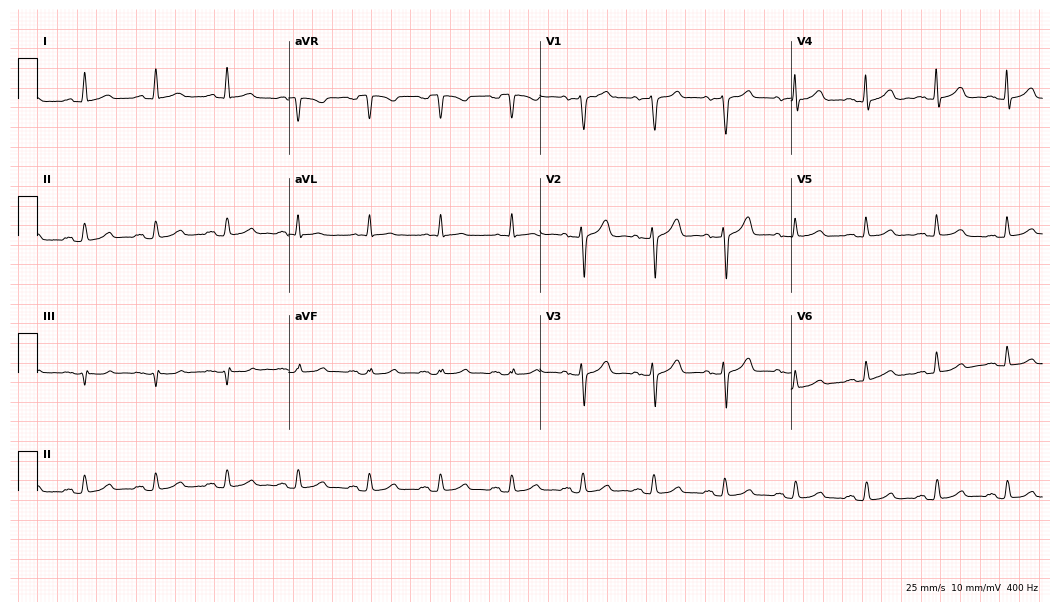
12-lead ECG from a female, 66 years old. Recorded interpretation: within normal limits.